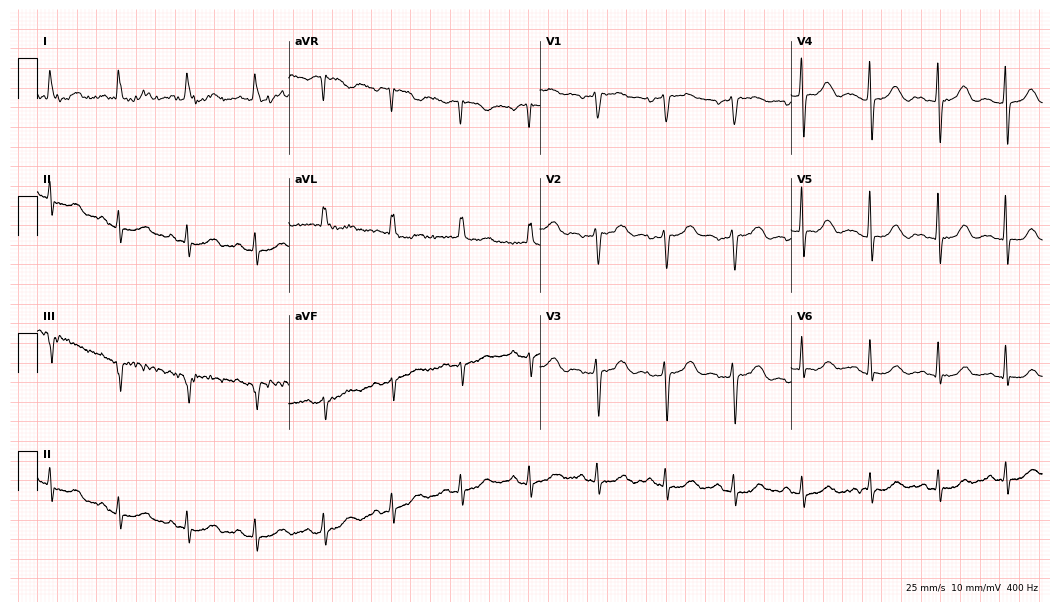
ECG (10.2-second recording at 400 Hz) — an 83-year-old female. Labelled as a normal ECG.